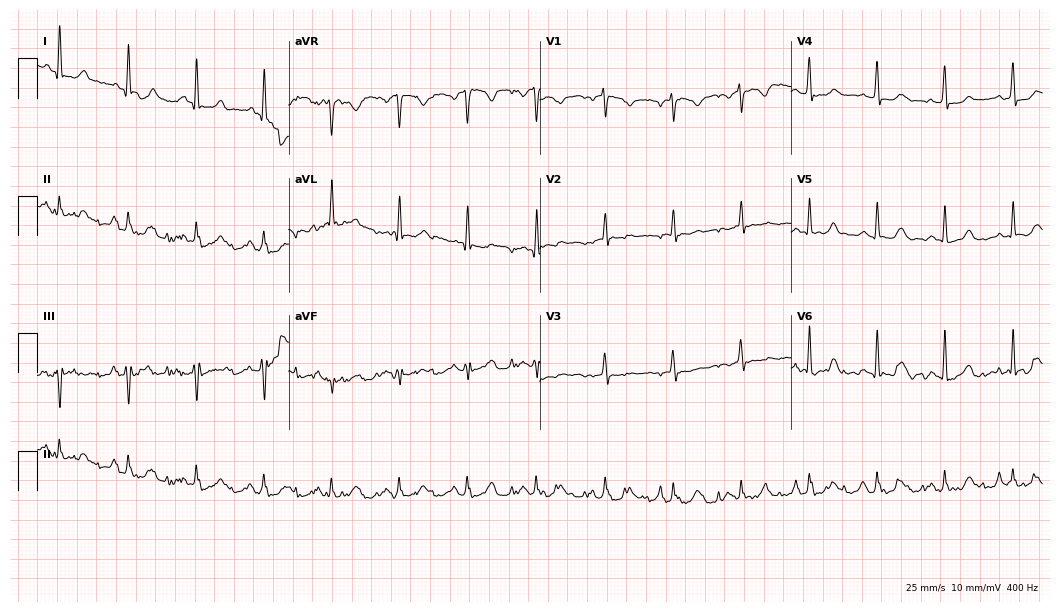
12-lead ECG from a female, 44 years old. Recorded interpretation: within normal limits.